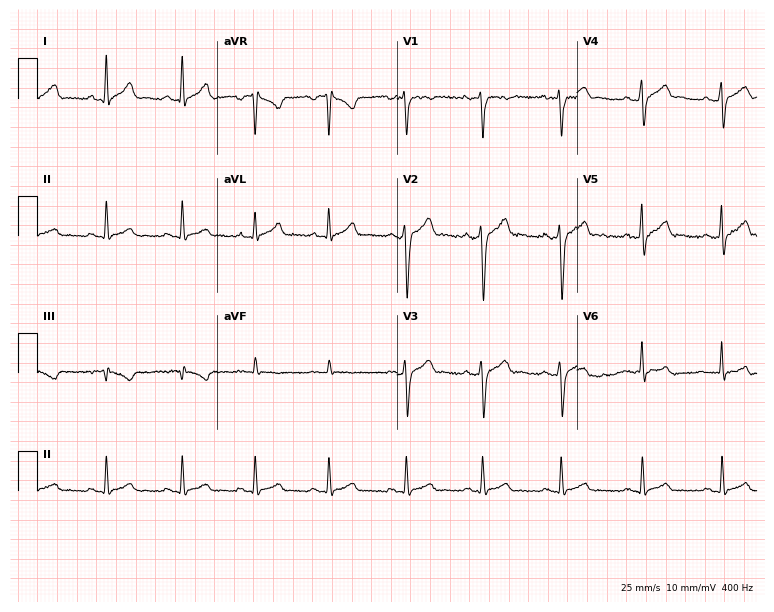
Standard 12-lead ECG recorded from a male, 32 years old (7.3-second recording at 400 Hz). Read as a normal ECG.